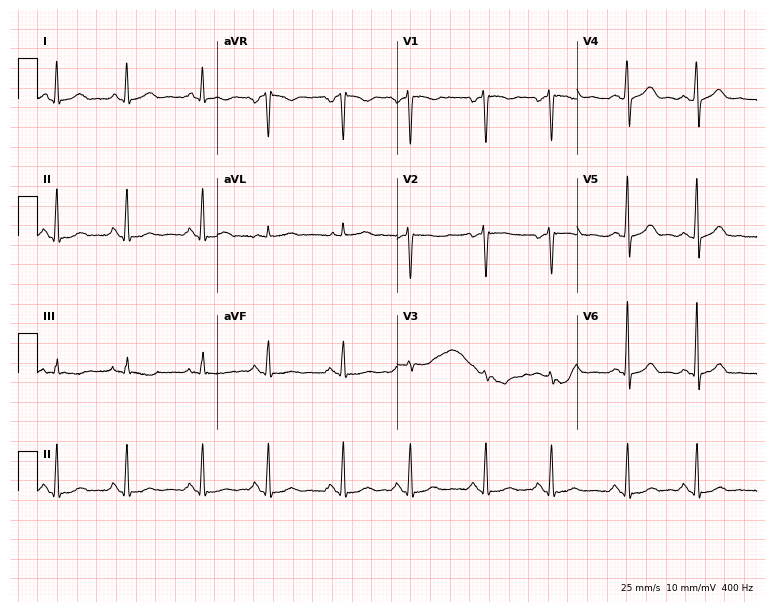
12-lead ECG from a female patient, 31 years old. No first-degree AV block, right bundle branch block, left bundle branch block, sinus bradycardia, atrial fibrillation or sinus tachycardia recorded for this tracing.